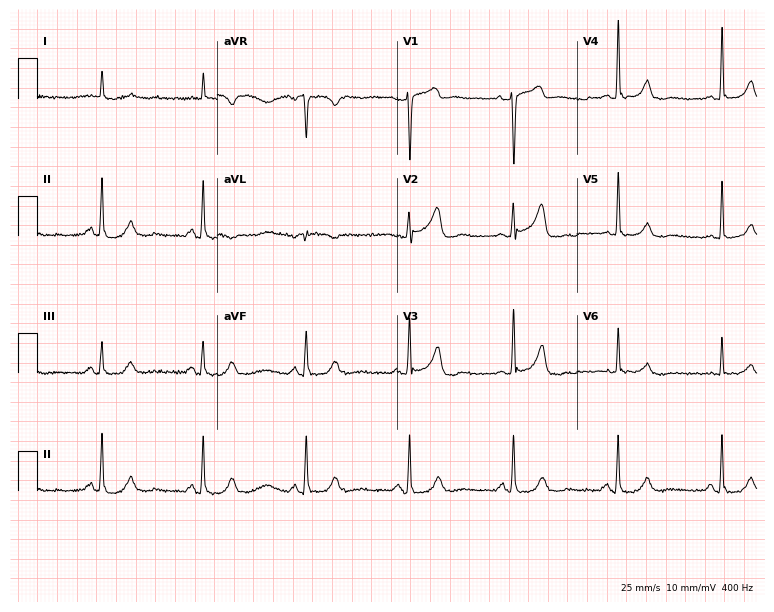
ECG (7.3-second recording at 400 Hz) — a male, 75 years old. Screened for six findings — first-degree AV block, right bundle branch block (RBBB), left bundle branch block (LBBB), sinus bradycardia, atrial fibrillation (AF), sinus tachycardia — none is recorded.